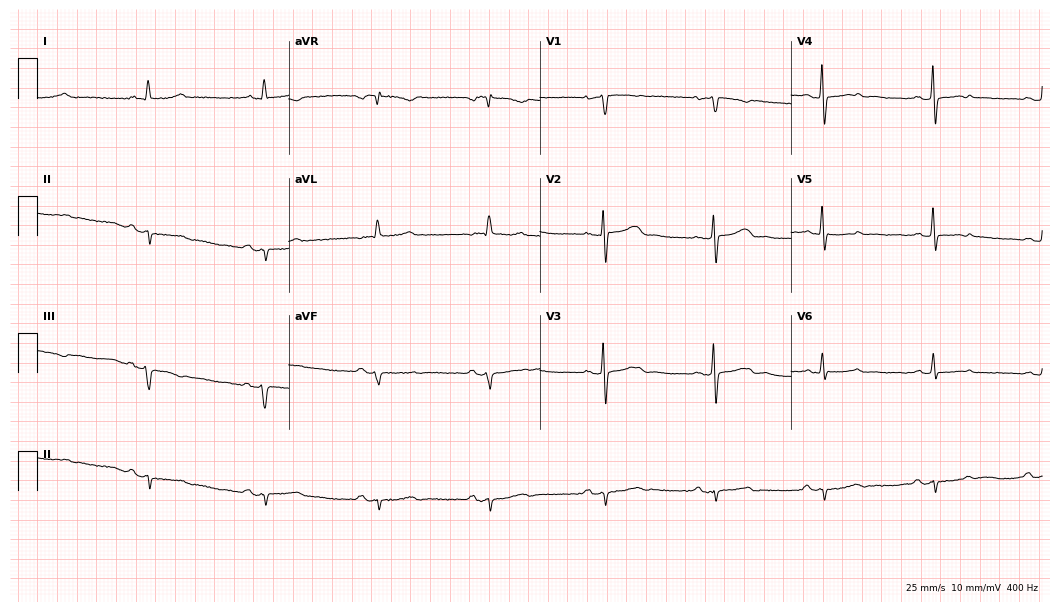
Resting 12-lead electrocardiogram. Patient: a 72-year-old male. None of these six findings is recorded: first-degree AV block, right bundle branch block, left bundle branch block, sinus bradycardia, atrial fibrillation, sinus tachycardia. Other findings, if any, are not listed.